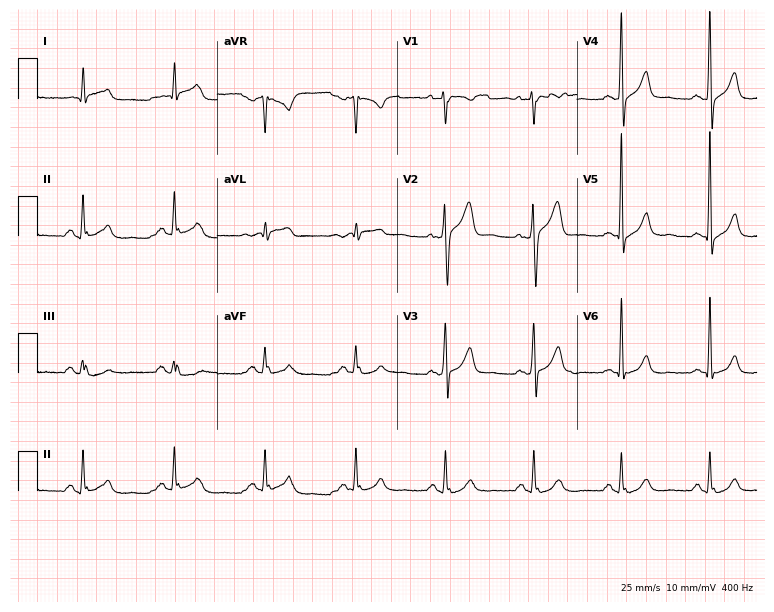
Resting 12-lead electrocardiogram. Patient: a man, 68 years old. None of these six findings is recorded: first-degree AV block, right bundle branch block, left bundle branch block, sinus bradycardia, atrial fibrillation, sinus tachycardia. Only these six findings were labelled.